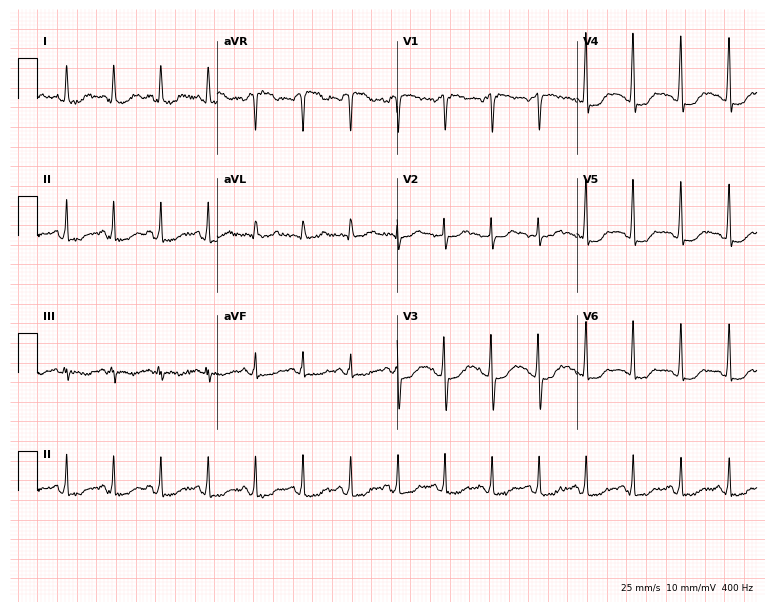
Standard 12-lead ECG recorded from a female, 31 years old (7.3-second recording at 400 Hz). The tracing shows sinus tachycardia (a sinus rate of 100 beats per minute or more).